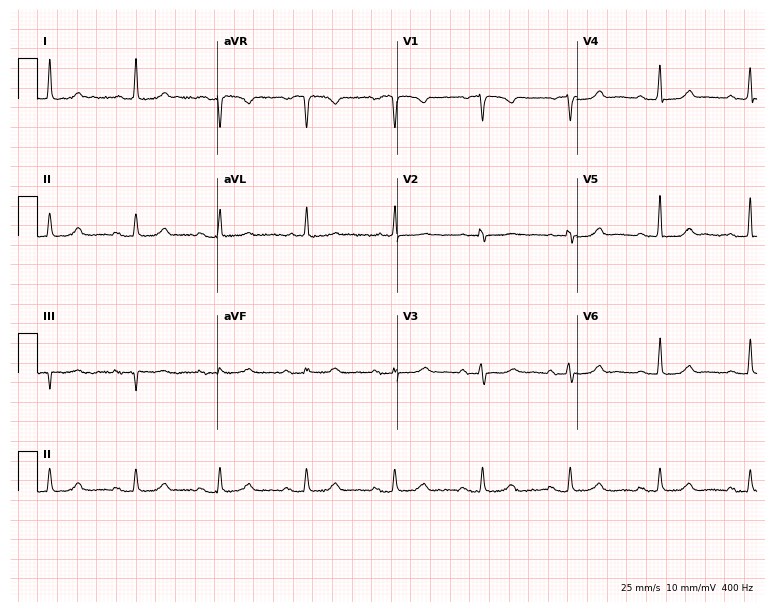
Resting 12-lead electrocardiogram (7.3-second recording at 400 Hz). Patient: an 86-year-old female. The tracing shows first-degree AV block.